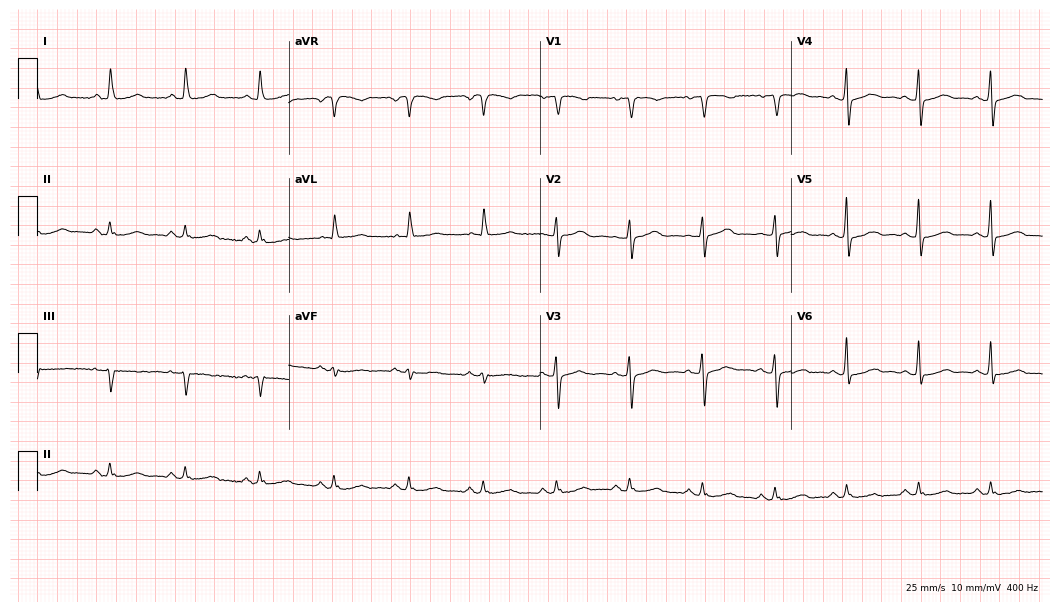
Standard 12-lead ECG recorded from a 58-year-old woman (10.2-second recording at 400 Hz). Read as a normal ECG.